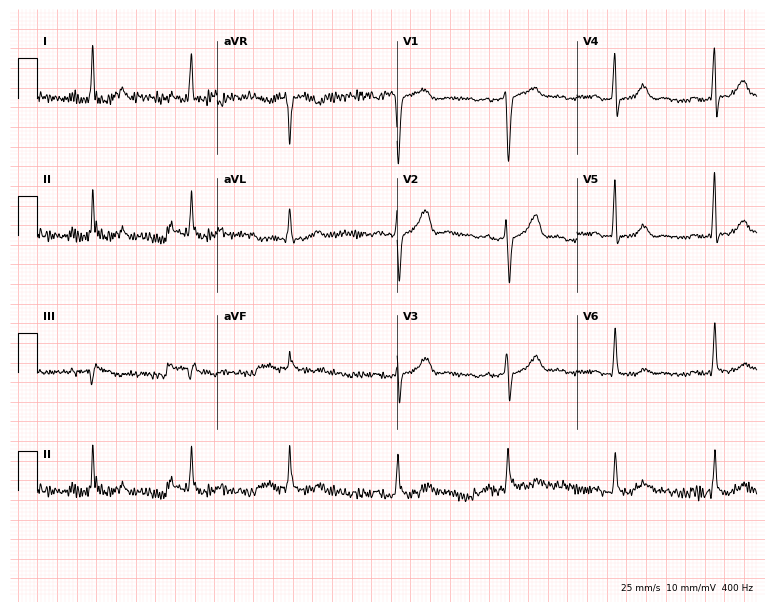
ECG (7.3-second recording at 400 Hz) — a 53-year-old female. Screened for six findings — first-degree AV block, right bundle branch block (RBBB), left bundle branch block (LBBB), sinus bradycardia, atrial fibrillation (AF), sinus tachycardia — none is recorded. Only these six findings were labelled.